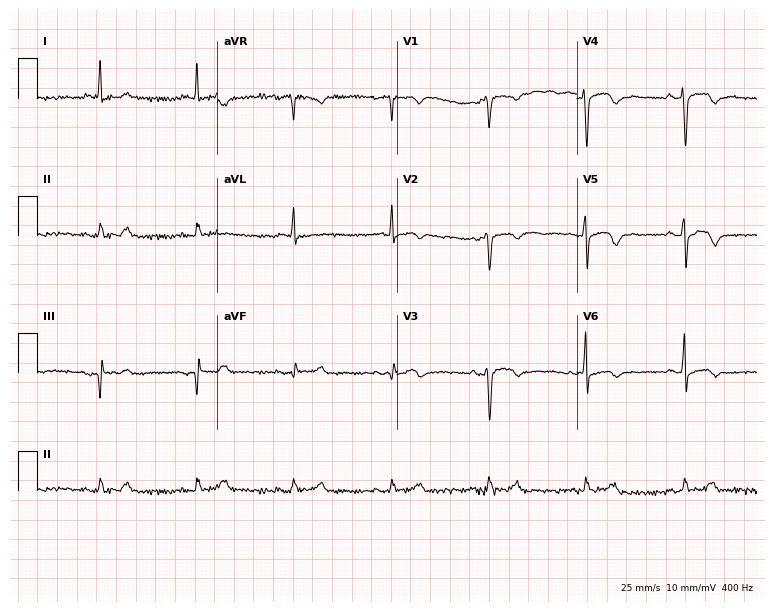
Electrocardiogram, a male, 78 years old. Of the six screened findings (first-degree AV block, right bundle branch block, left bundle branch block, sinus bradycardia, atrial fibrillation, sinus tachycardia), none is recorded. Other findings, if any, are not listed.